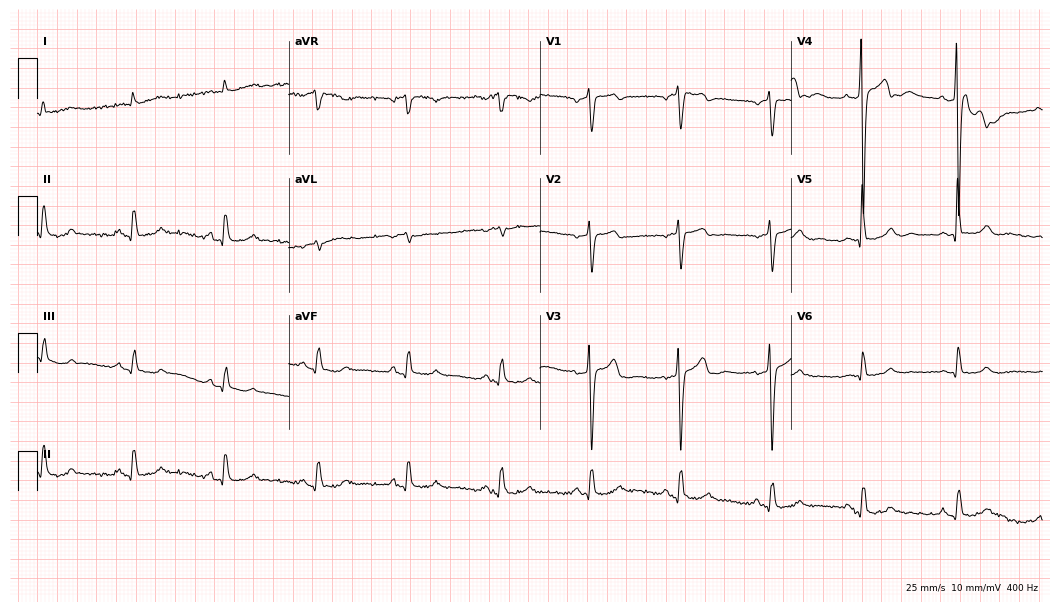
Resting 12-lead electrocardiogram (10.2-second recording at 400 Hz). Patient: a male, 80 years old. None of these six findings is recorded: first-degree AV block, right bundle branch block, left bundle branch block, sinus bradycardia, atrial fibrillation, sinus tachycardia.